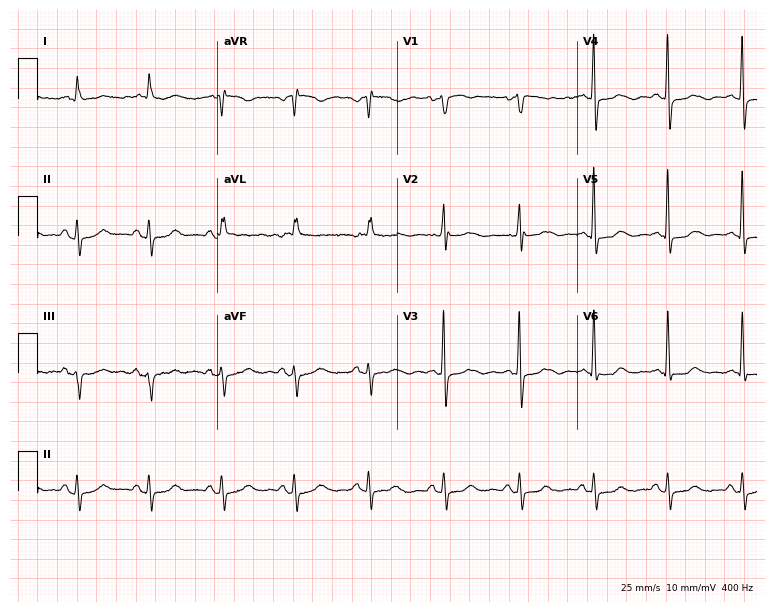
12-lead ECG from a female patient, 77 years old. Recorded interpretation: within normal limits.